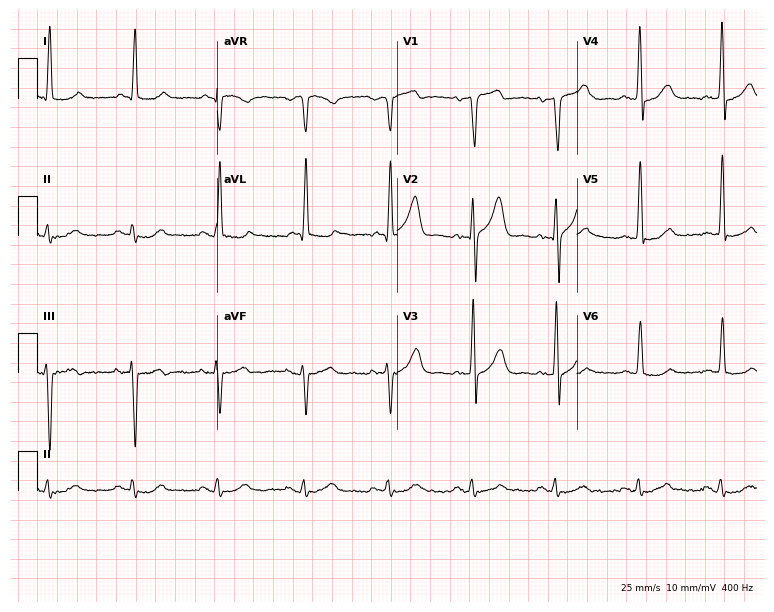
Resting 12-lead electrocardiogram. Patient: a 64-year-old male. None of these six findings is recorded: first-degree AV block, right bundle branch block (RBBB), left bundle branch block (LBBB), sinus bradycardia, atrial fibrillation (AF), sinus tachycardia.